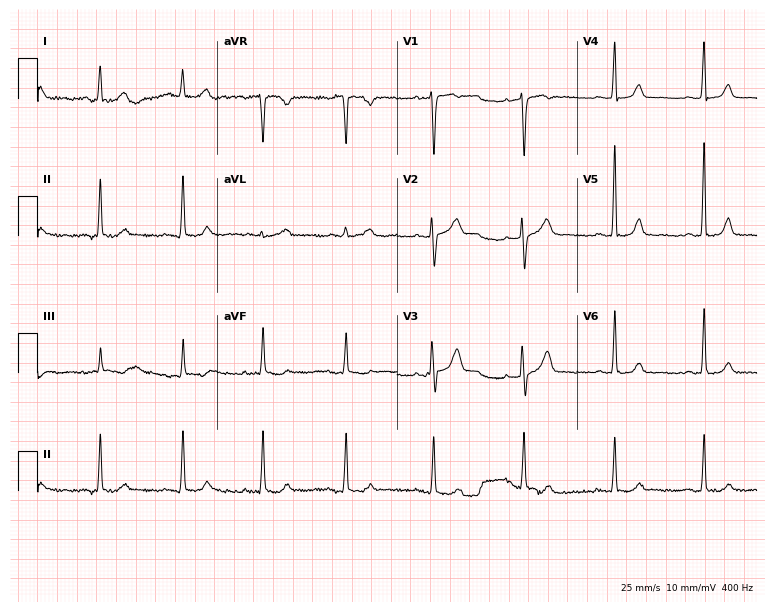
12-lead ECG (7.3-second recording at 400 Hz) from a 59-year-old female. Screened for six findings — first-degree AV block, right bundle branch block (RBBB), left bundle branch block (LBBB), sinus bradycardia, atrial fibrillation (AF), sinus tachycardia — none is recorded. Findings outside these six are not listed.